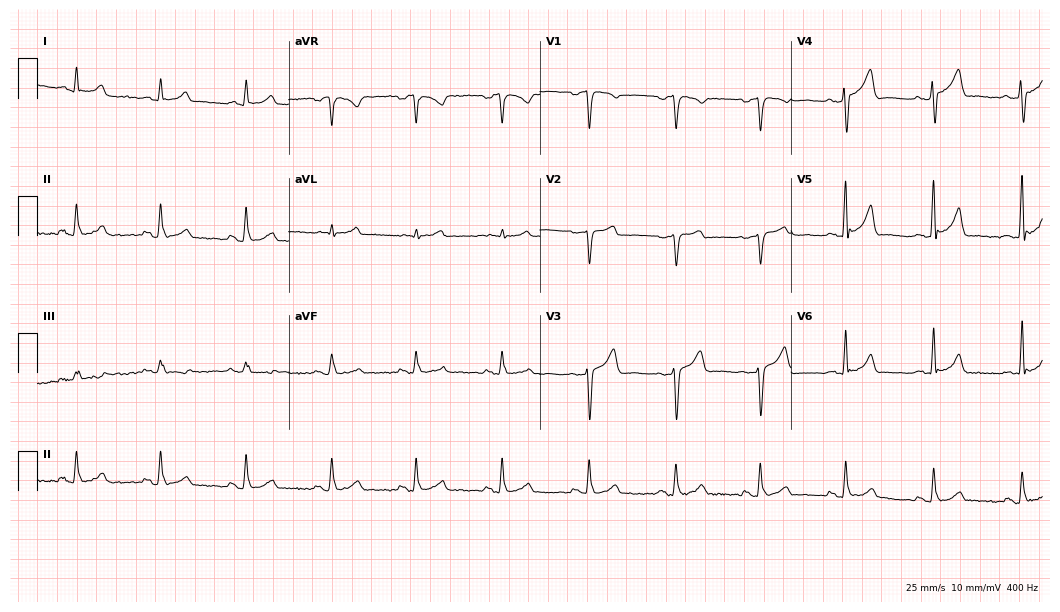
Resting 12-lead electrocardiogram. Patient: a 46-year-old male. None of these six findings is recorded: first-degree AV block, right bundle branch block, left bundle branch block, sinus bradycardia, atrial fibrillation, sinus tachycardia. Only these six findings were labelled.